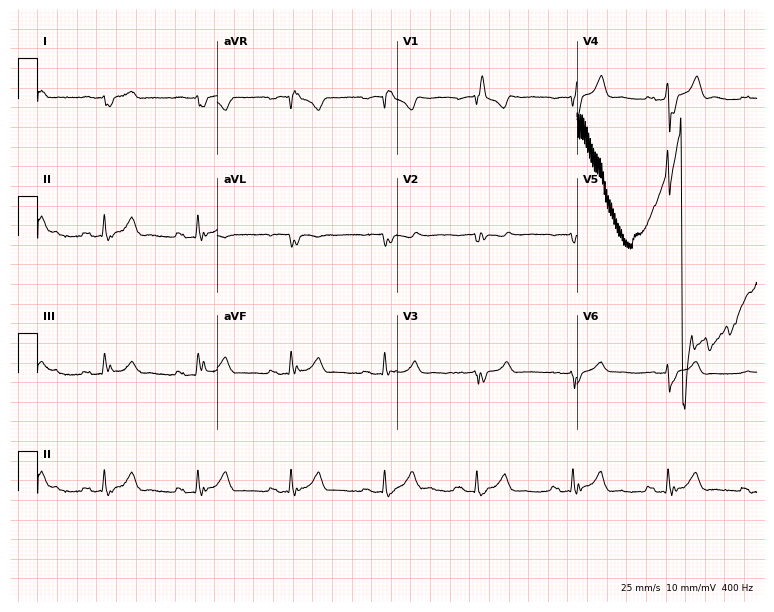
Electrocardiogram, a male, 60 years old. Interpretation includes right bundle branch block.